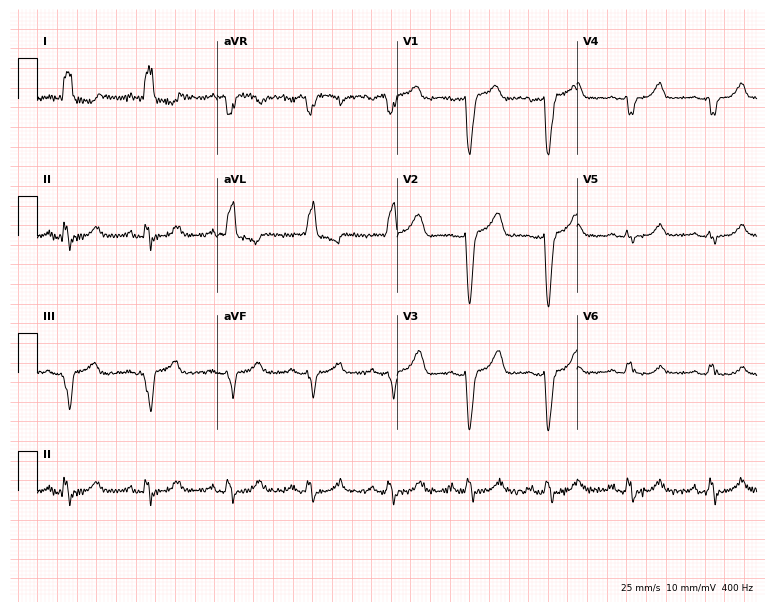
Standard 12-lead ECG recorded from a 64-year-old female patient (7.3-second recording at 400 Hz). None of these six findings is recorded: first-degree AV block, right bundle branch block, left bundle branch block, sinus bradycardia, atrial fibrillation, sinus tachycardia. Other findings, if any, are not listed.